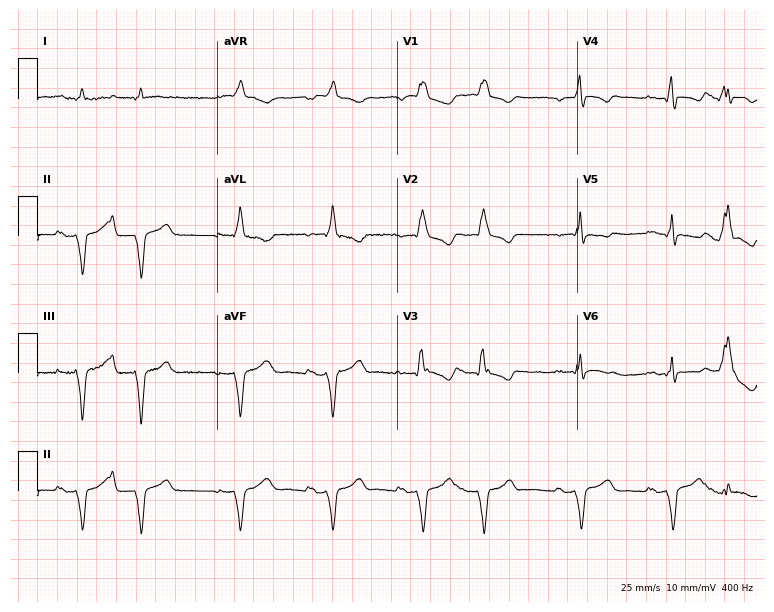
Standard 12-lead ECG recorded from a male, 84 years old. The tracing shows right bundle branch block.